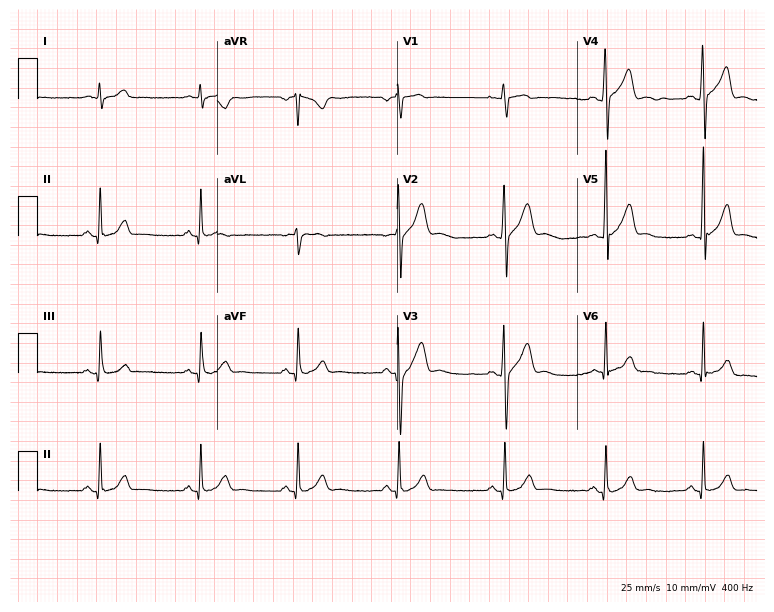
12-lead ECG from a male, 27 years old. Recorded interpretation: within normal limits.